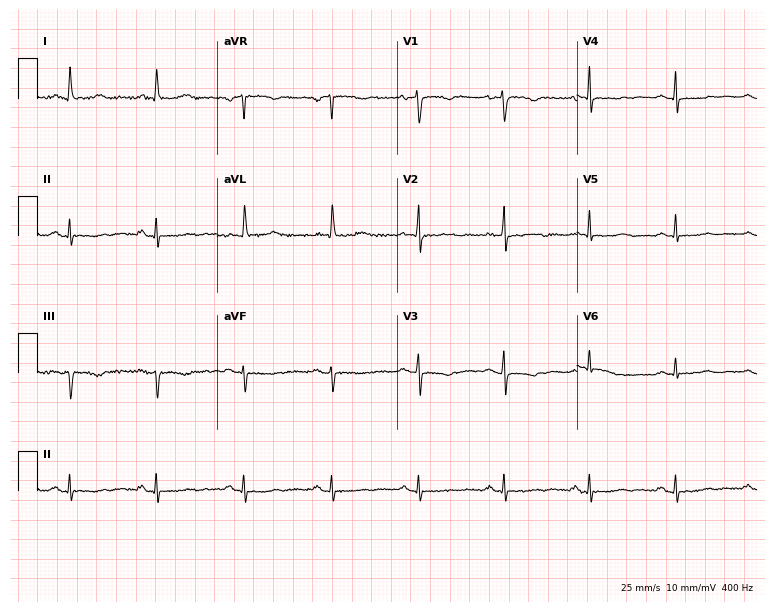
ECG (7.3-second recording at 400 Hz) — a female, 57 years old. Screened for six findings — first-degree AV block, right bundle branch block, left bundle branch block, sinus bradycardia, atrial fibrillation, sinus tachycardia — none is recorded.